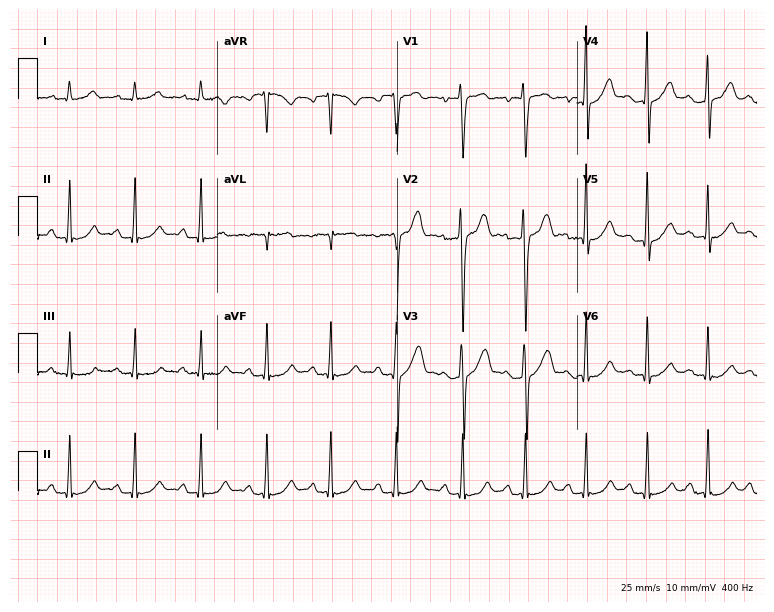
Standard 12-lead ECG recorded from a 28-year-old man. Read as a normal ECG.